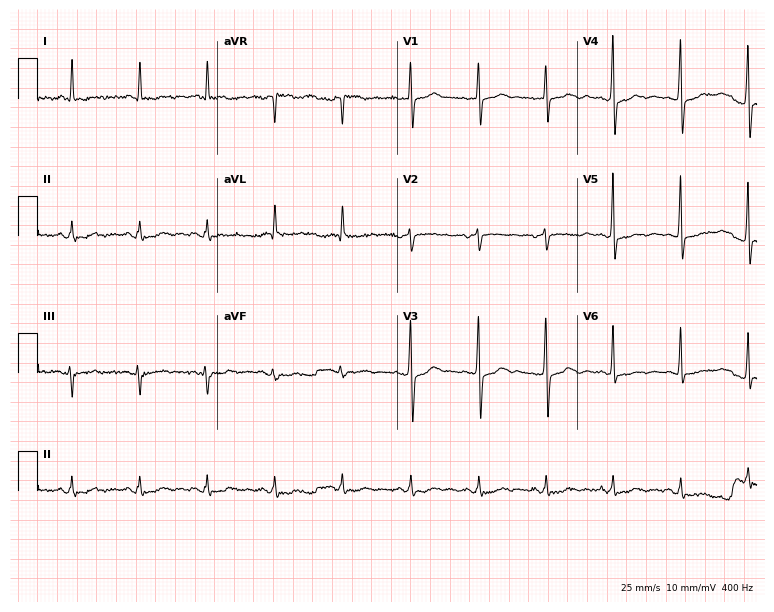
Electrocardiogram, a male patient, 68 years old. Of the six screened findings (first-degree AV block, right bundle branch block, left bundle branch block, sinus bradycardia, atrial fibrillation, sinus tachycardia), none is recorded. Findings outside these six are not listed.